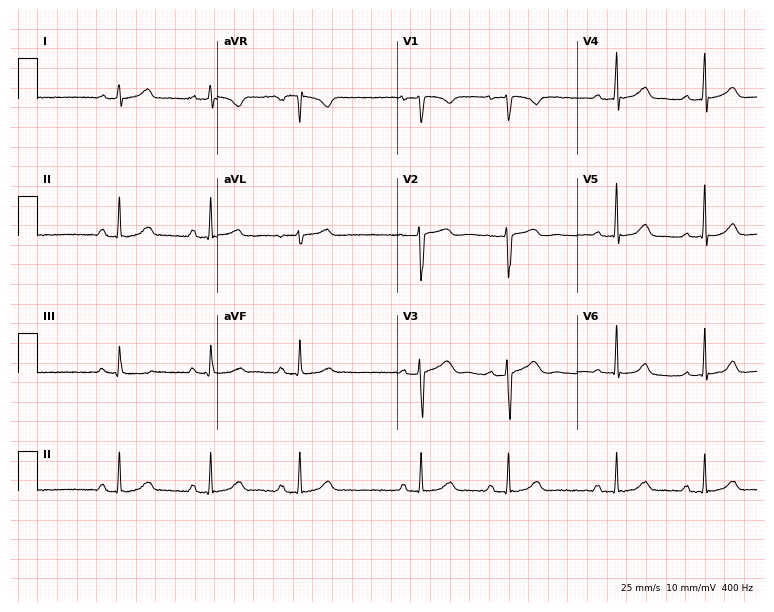
Electrocardiogram, a 31-year-old woman. Overall reading on record: normal ECG.